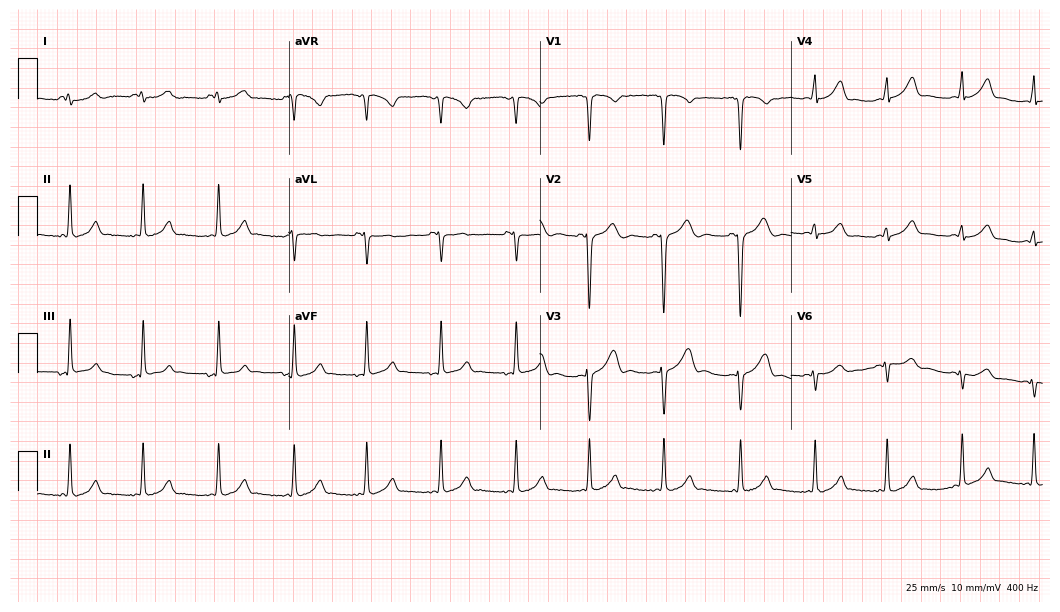
Electrocardiogram, a 17-year-old woman. Of the six screened findings (first-degree AV block, right bundle branch block, left bundle branch block, sinus bradycardia, atrial fibrillation, sinus tachycardia), none is recorded.